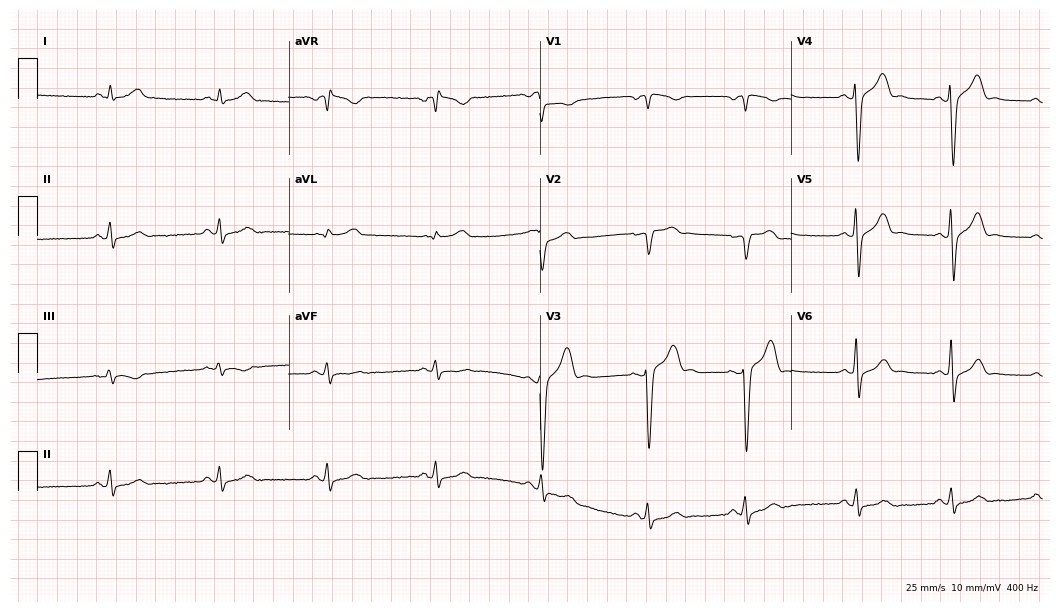
12-lead ECG from a 64-year-old male patient. No first-degree AV block, right bundle branch block, left bundle branch block, sinus bradycardia, atrial fibrillation or sinus tachycardia recorded for this tracing. Other findings, if any, are not listed.